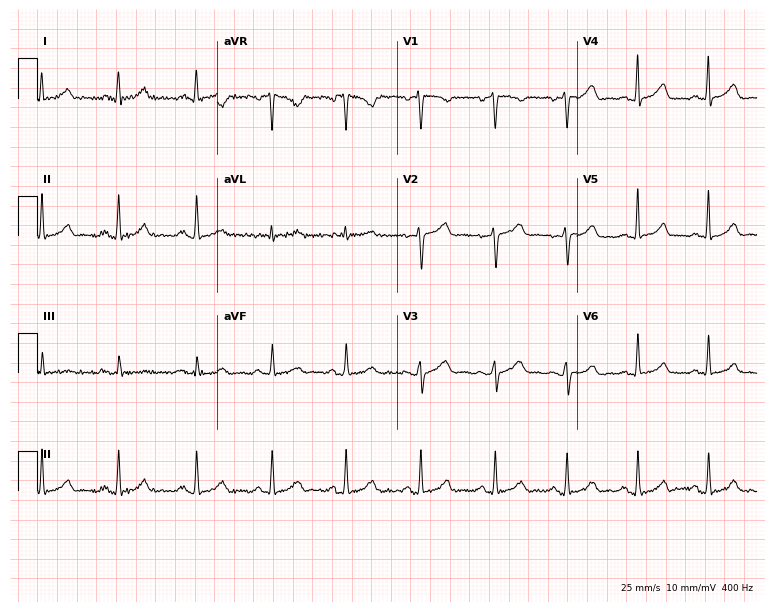
Electrocardiogram, a woman, 45 years old. Of the six screened findings (first-degree AV block, right bundle branch block (RBBB), left bundle branch block (LBBB), sinus bradycardia, atrial fibrillation (AF), sinus tachycardia), none is recorded. Findings outside these six are not listed.